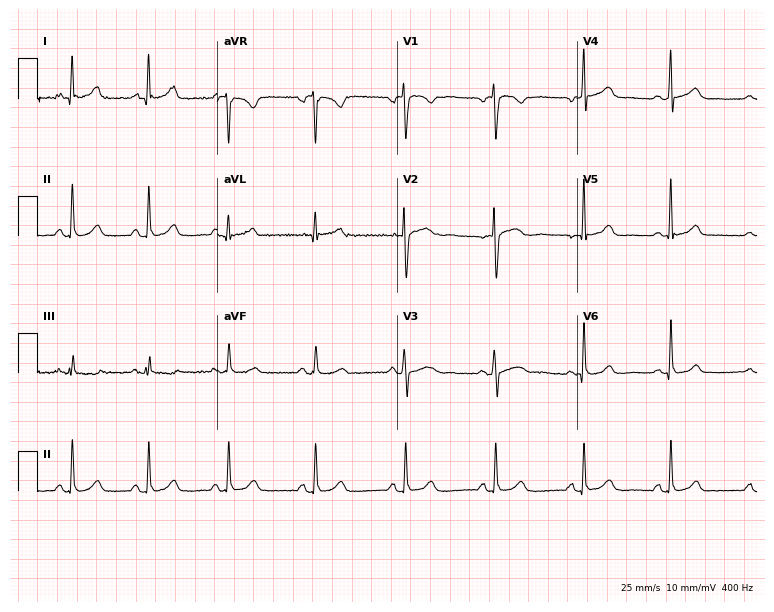
Resting 12-lead electrocardiogram (7.3-second recording at 400 Hz). Patient: a woman, 38 years old. Read as a normal ECG.